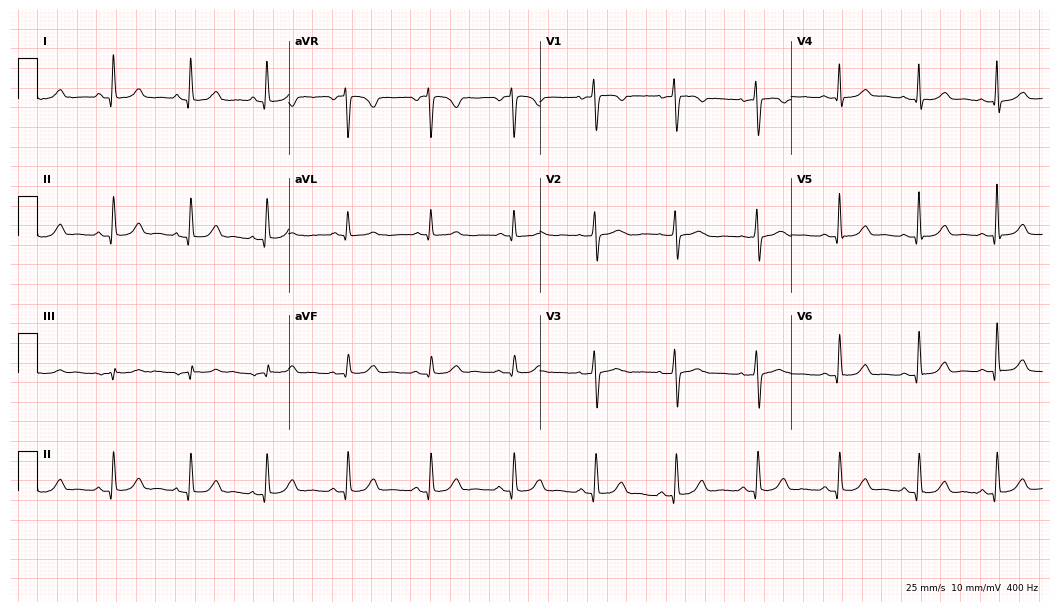
Standard 12-lead ECG recorded from a female patient, 50 years old (10.2-second recording at 400 Hz). Read as a normal ECG.